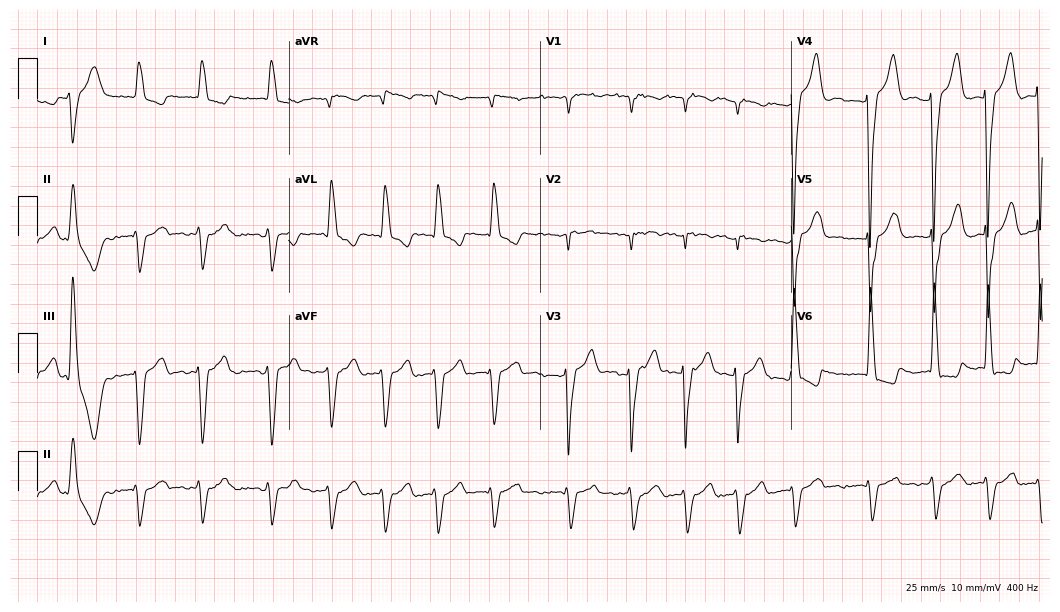
12-lead ECG from a man, 82 years old (10.2-second recording at 400 Hz). Shows atrial fibrillation.